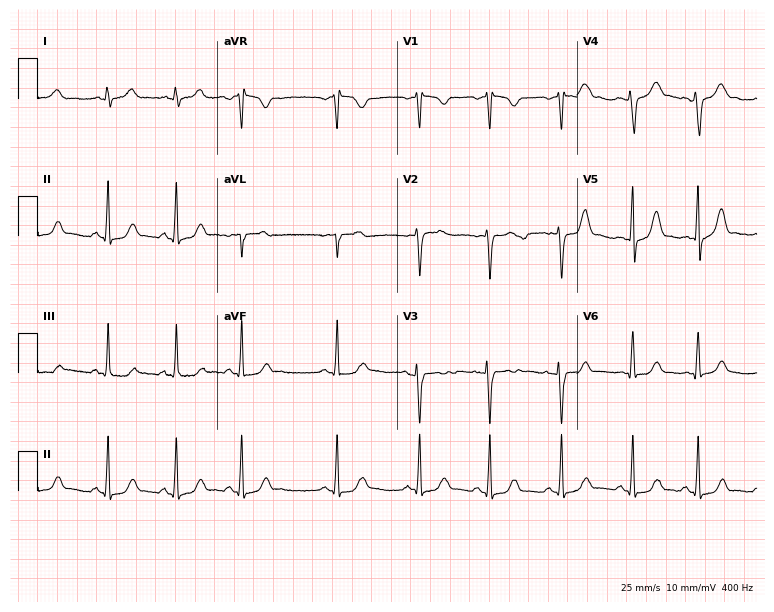
Standard 12-lead ECG recorded from a 17-year-old female patient (7.3-second recording at 400 Hz). Read as a normal ECG.